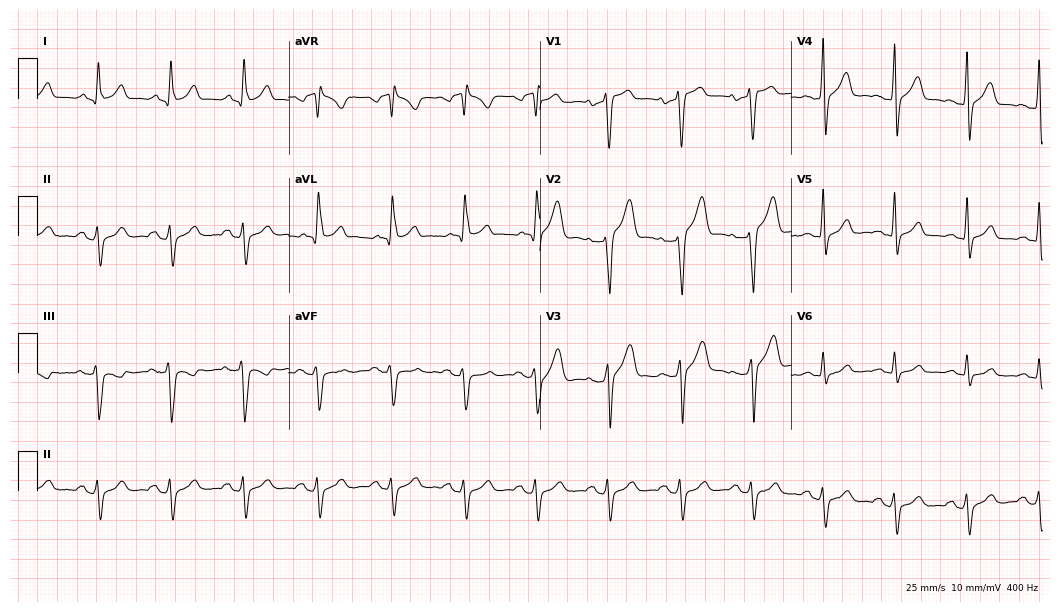
12-lead ECG from a 46-year-old male patient (10.2-second recording at 400 Hz). No first-degree AV block, right bundle branch block (RBBB), left bundle branch block (LBBB), sinus bradycardia, atrial fibrillation (AF) or sinus tachycardia recorded for this tracing.